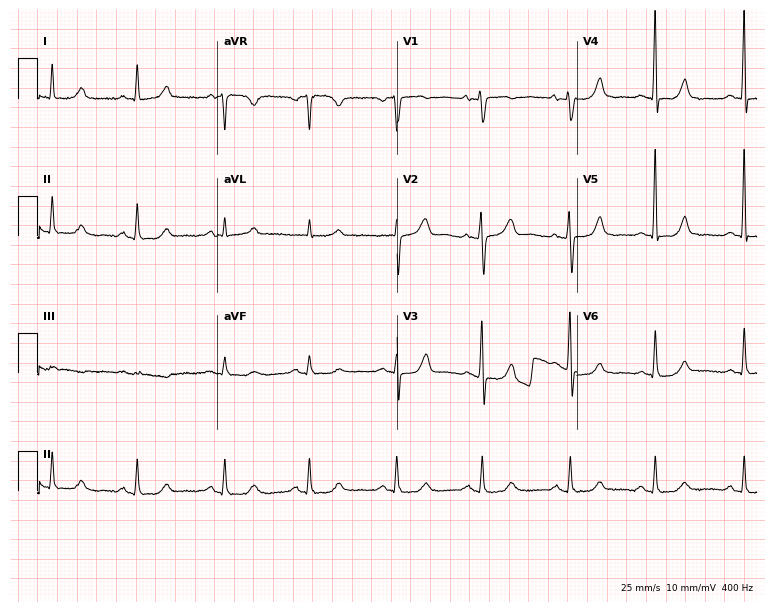
ECG — a 77-year-old female patient. Screened for six findings — first-degree AV block, right bundle branch block, left bundle branch block, sinus bradycardia, atrial fibrillation, sinus tachycardia — none is recorded. Other findings, if any, are not listed.